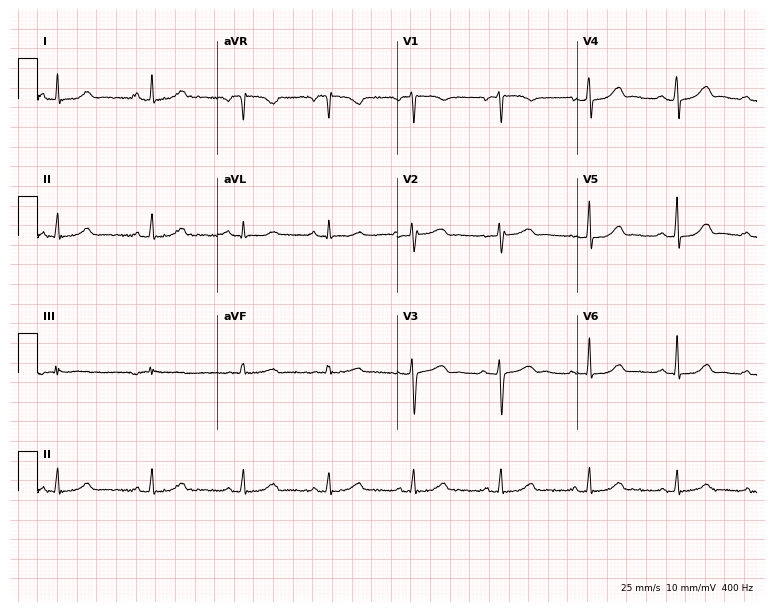
12-lead ECG (7.3-second recording at 400 Hz) from a female patient, 51 years old. Labelled as a normal ECG.